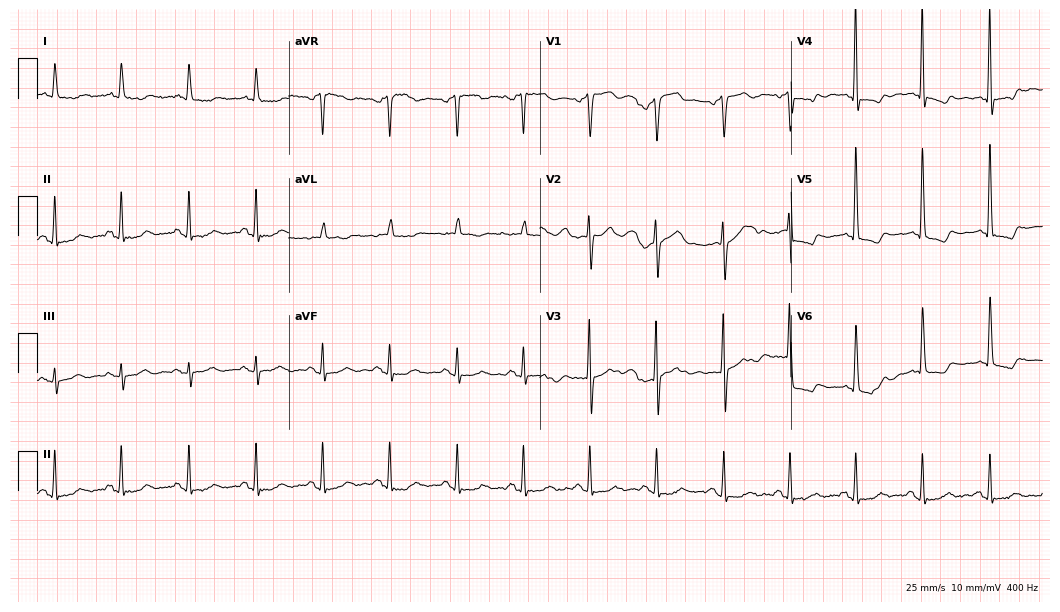
ECG (10.2-second recording at 400 Hz) — a male, 85 years old. Screened for six findings — first-degree AV block, right bundle branch block (RBBB), left bundle branch block (LBBB), sinus bradycardia, atrial fibrillation (AF), sinus tachycardia — none is recorded.